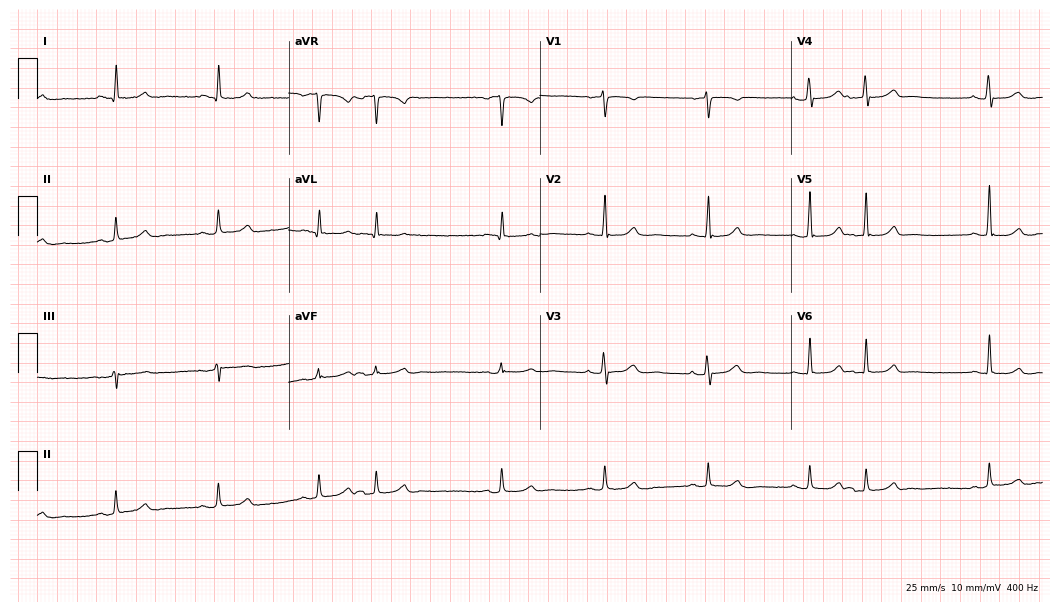
ECG — a 65-year-old woman. Labelled as a normal ECG.